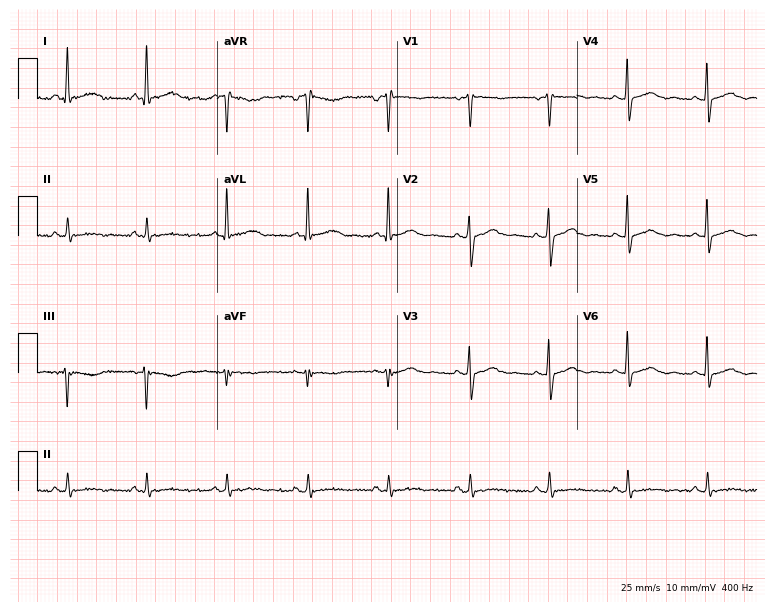
Electrocardiogram (7.3-second recording at 400 Hz), a 54-year-old female patient. Overall reading on record: normal ECG.